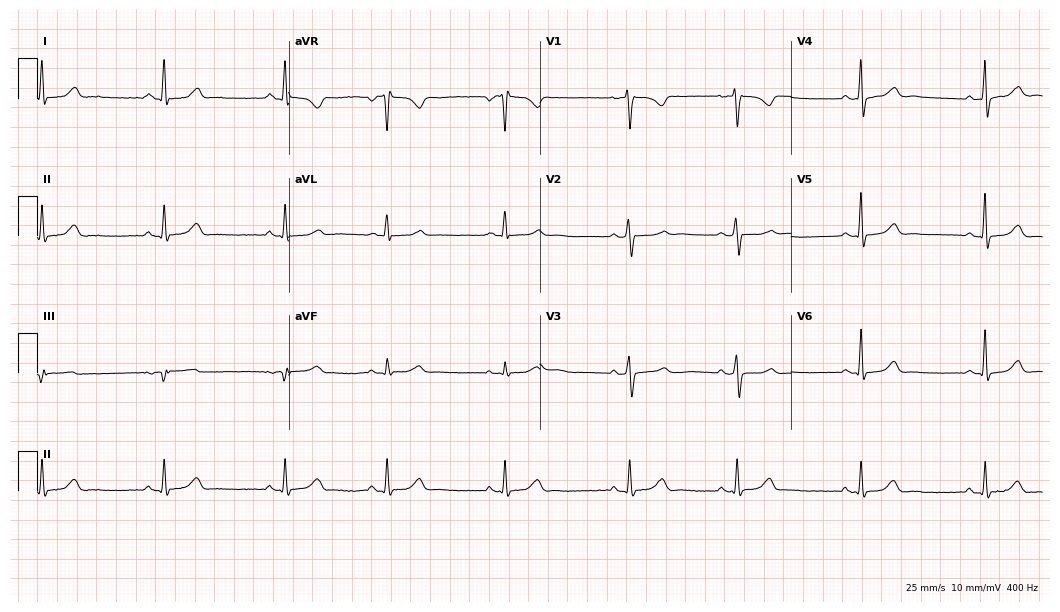
ECG (10.2-second recording at 400 Hz) — a woman, 53 years old. Findings include sinus bradycardia (a sinus rate of 50 beats per minute or less).